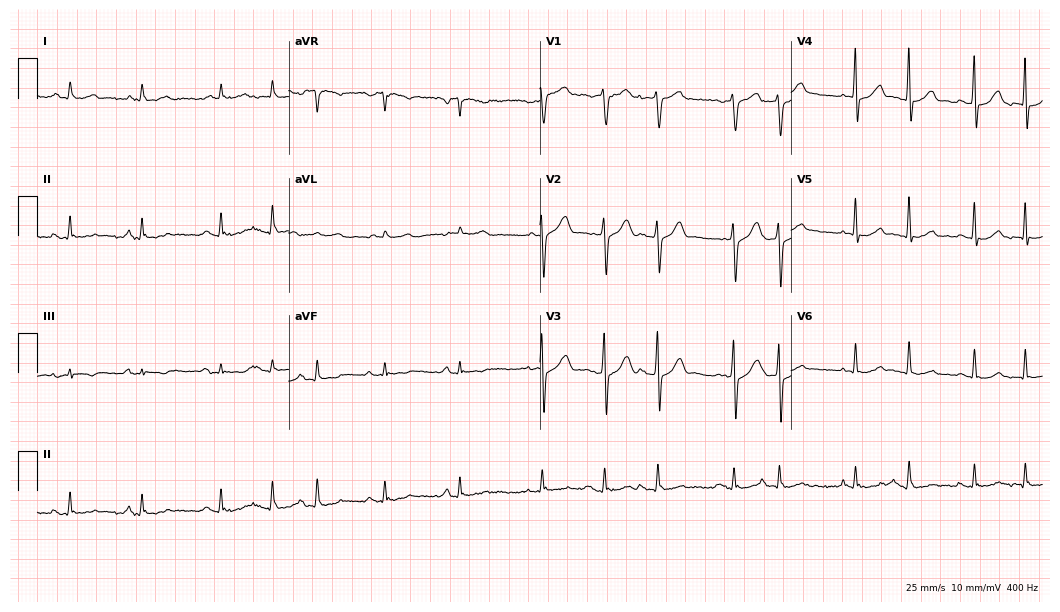
ECG — a male, 72 years old. Screened for six findings — first-degree AV block, right bundle branch block, left bundle branch block, sinus bradycardia, atrial fibrillation, sinus tachycardia — none is recorded.